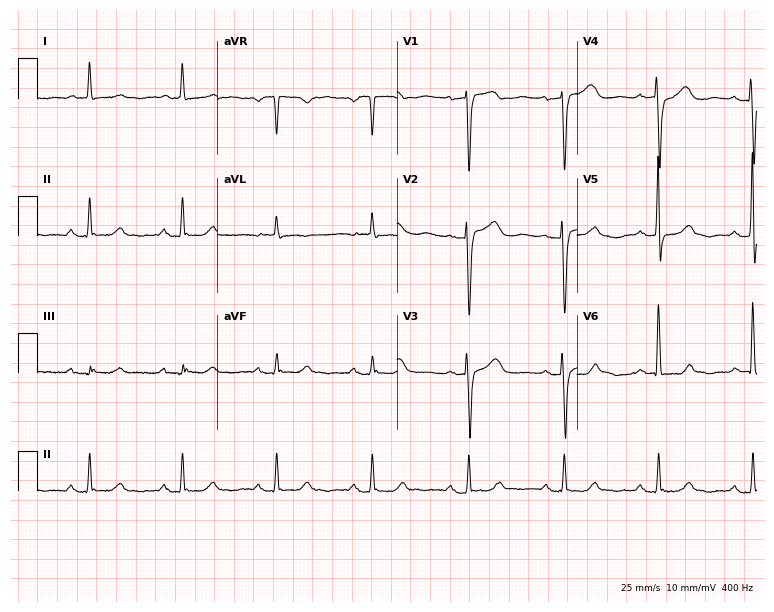
Standard 12-lead ECG recorded from a 74-year-old woman (7.3-second recording at 400 Hz). None of these six findings is recorded: first-degree AV block, right bundle branch block, left bundle branch block, sinus bradycardia, atrial fibrillation, sinus tachycardia. Findings outside these six are not listed.